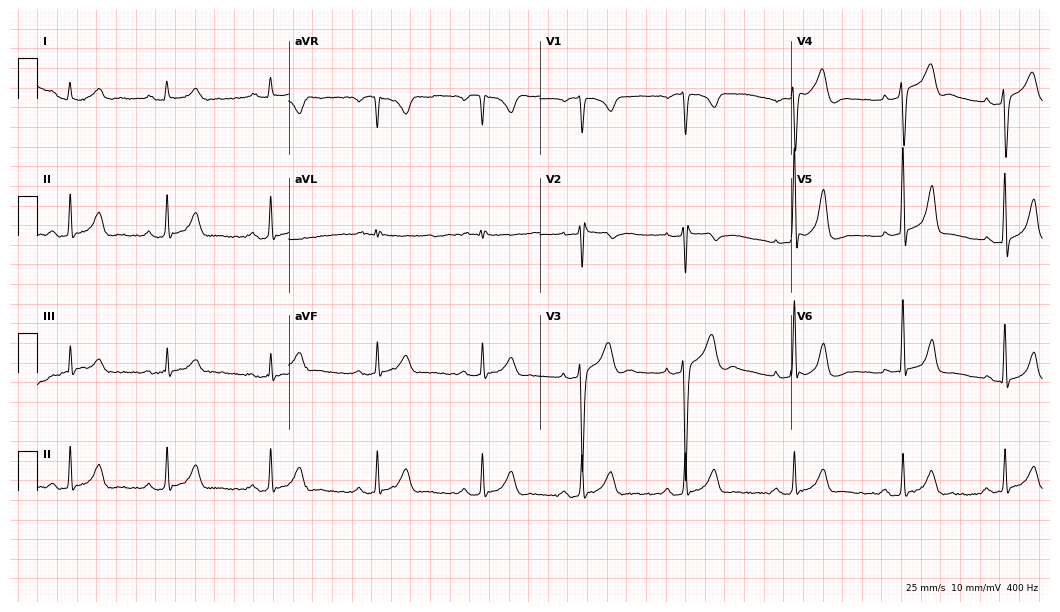
Electrocardiogram (10.2-second recording at 400 Hz), a man, 31 years old. Of the six screened findings (first-degree AV block, right bundle branch block, left bundle branch block, sinus bradycardia, atrial fibrillation, sinus tachycardia), none is recorded. Findings outside these six are not listed.